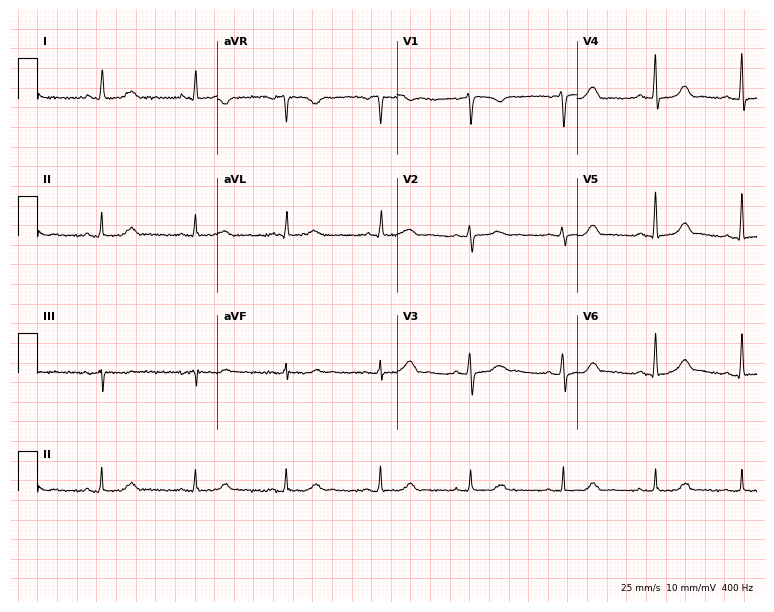
12-lead ECG from a female, 73 years old. Labelled as a normal ECG.